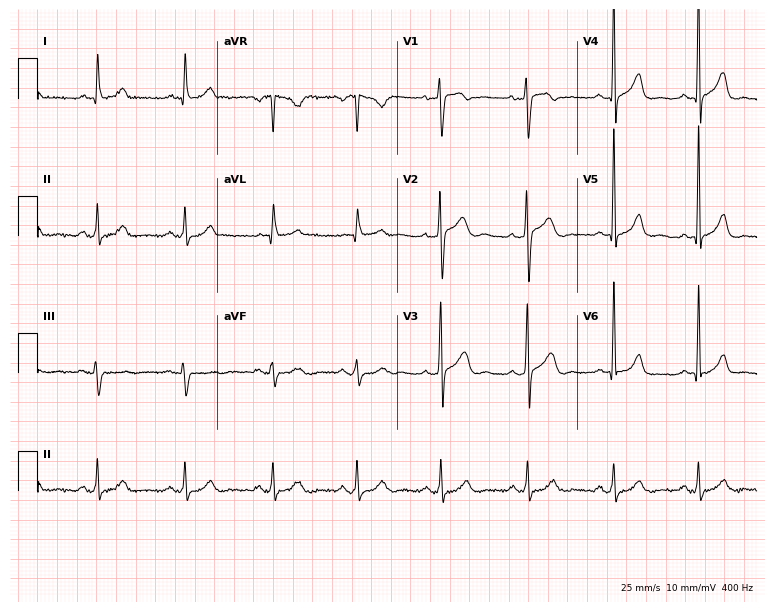
ECG — a 53-year-old male. Labelled as a normal ECG.